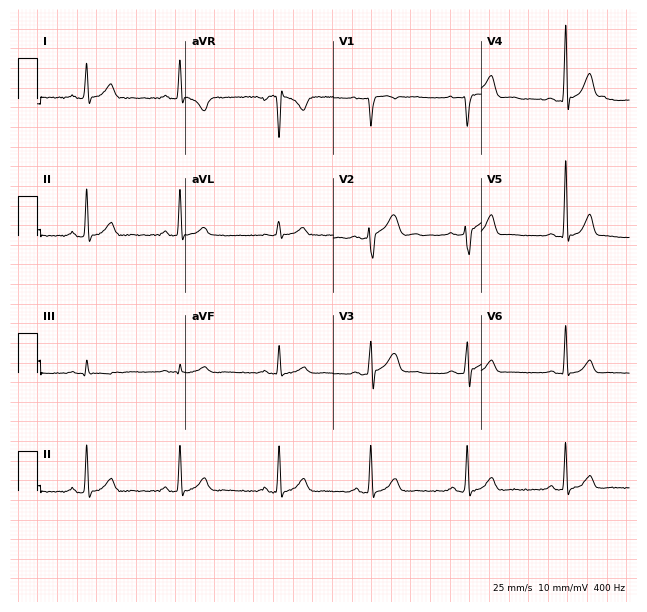
Electrocardiogram (6-second recording at 400 Hz), a 39-year-old male. Overall reading on record: normal ECG.